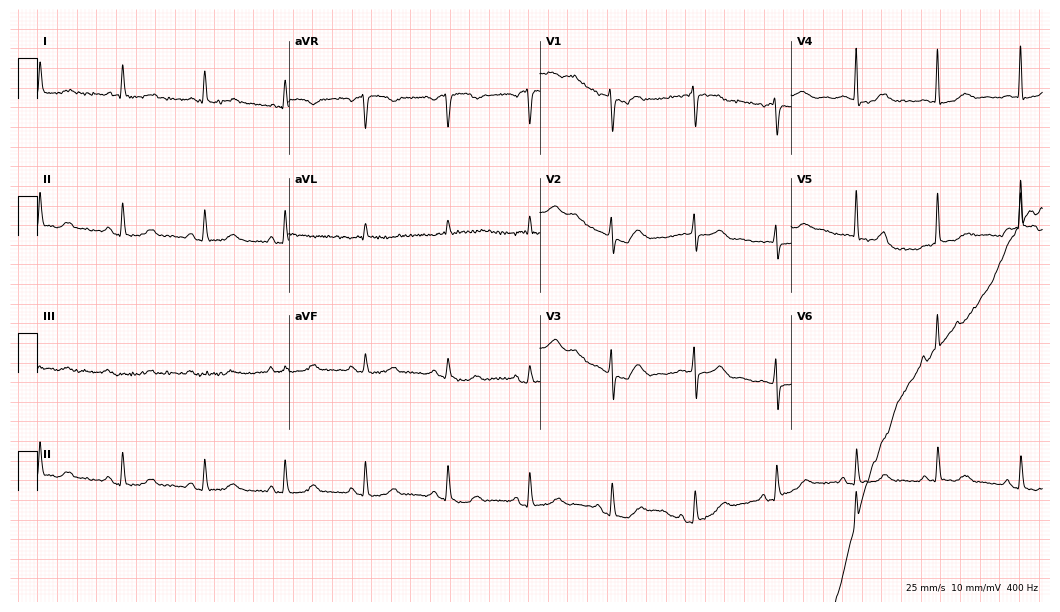
ECG — a woman, 80 years old. Labelled as a normal ECG.